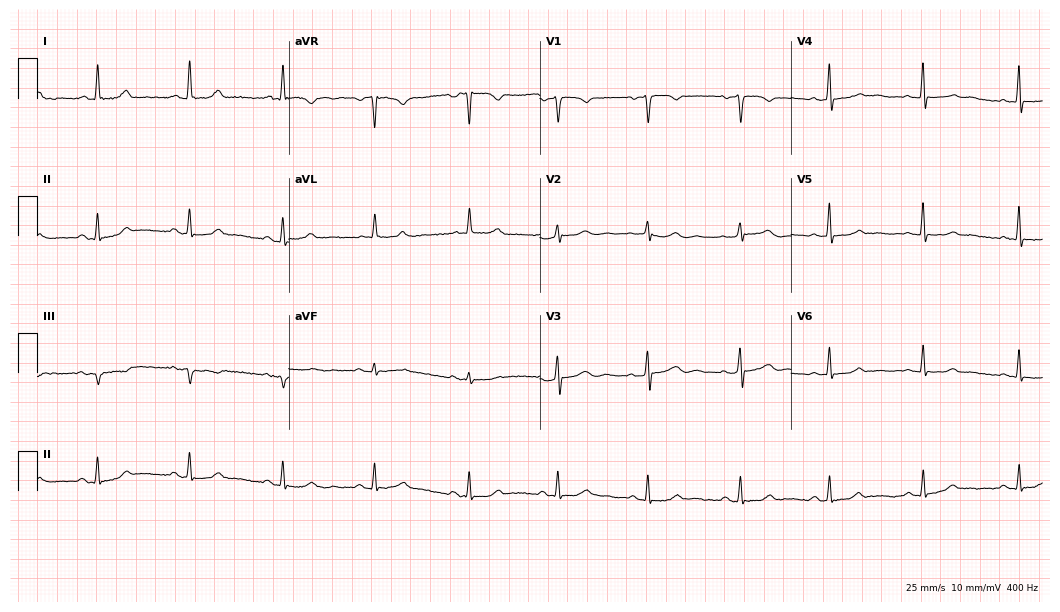
Resting 12-lead electrocardiogram. Patient: a 47-year-old female. None of these six findings is recorded: first-degree AV block, right bundle branch block, left bundle branch block, sinus bradycardia, atrial fibrillation, sinus tachycardia.